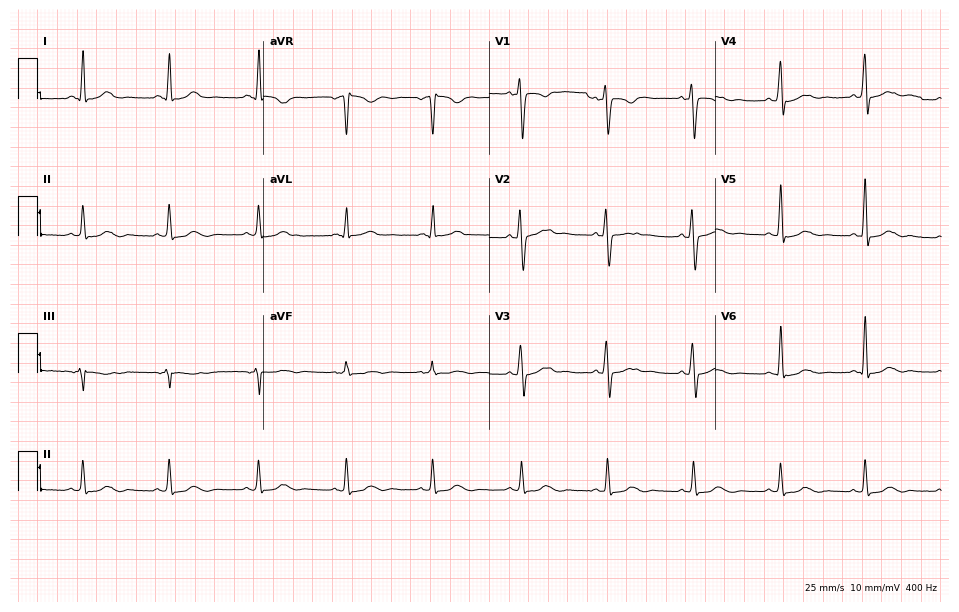
Standard 12-lead ECG recorded from a 45-year-old female patient (9.2-second recording at 400 Hz). None of these six findings is recorded: first-degree AV block, right bundle branch block (RBBB), left bundle branch block (LBBB), sinus bradycardia, atrial fibrillation (AF), sinus tachycardia. Other findings, if any, are not listed.